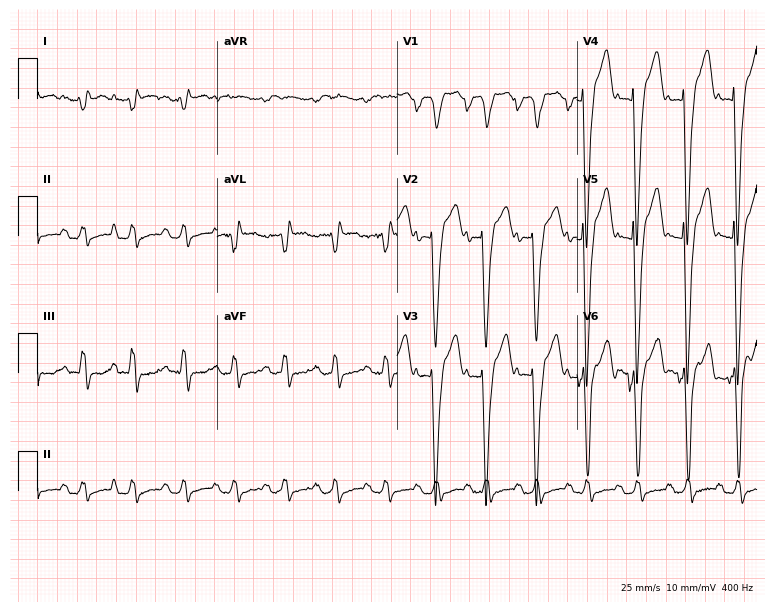
12-lead ECG from a male, 56 years old (7.3-second recording at 400 Hz). No first-degree AV block, right bundle branch block (RBBB), left bundle branch block (LBBB), sinus bradycardia, atrial fibrillation (AF) or sinus tachycardia recorded for this tracing.